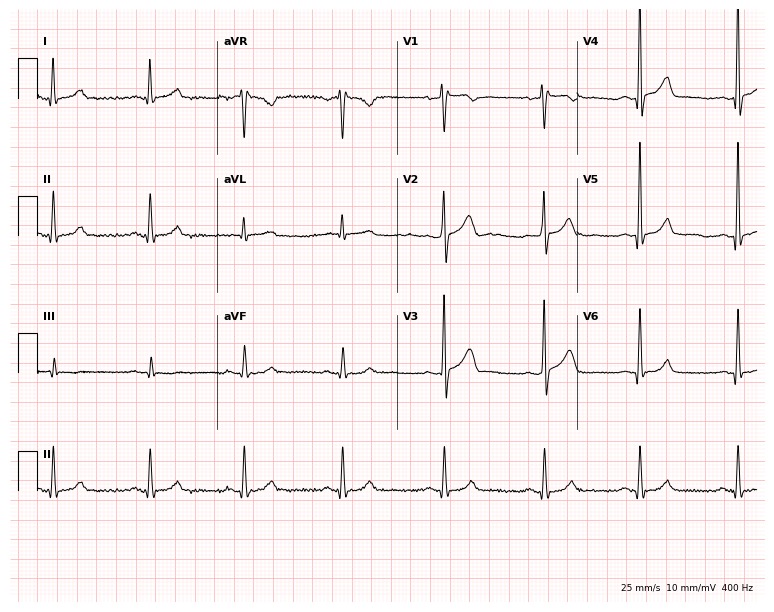
Resting 12-lead electrocardiogram (7.3-second recording at 400 Hz). Patient: a 43-year-old male. None of these six findings is recorded: first-degree AV block, right bundle branch block, left bundle branch block, sinus bradycardia, atrial fibrillation, sinus tachycardia. Only these six findings were labelled.